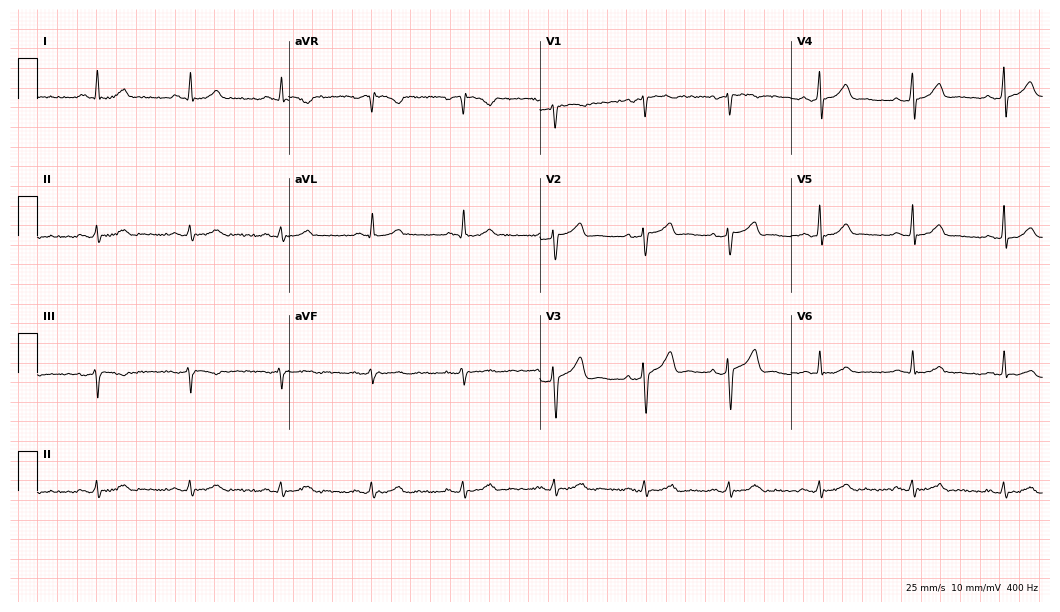
ECG (10.2-second recording at 400 Hz) — a male patient, 48 years old. Labelled as a normal ECG.